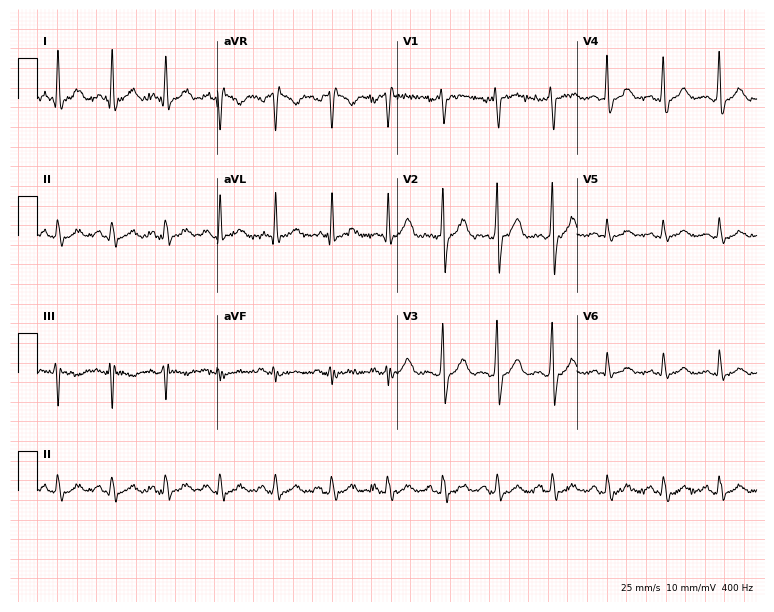
Standard 12-lead ECG recorded from a male patient, 37 years old. None of these six findings is recorded: first-degree AV block, right bundle branch block, left bundle branch block, sinus bradycardia, atrial fibrillation, sinus tachycardia. Findings outside these six are not listed.